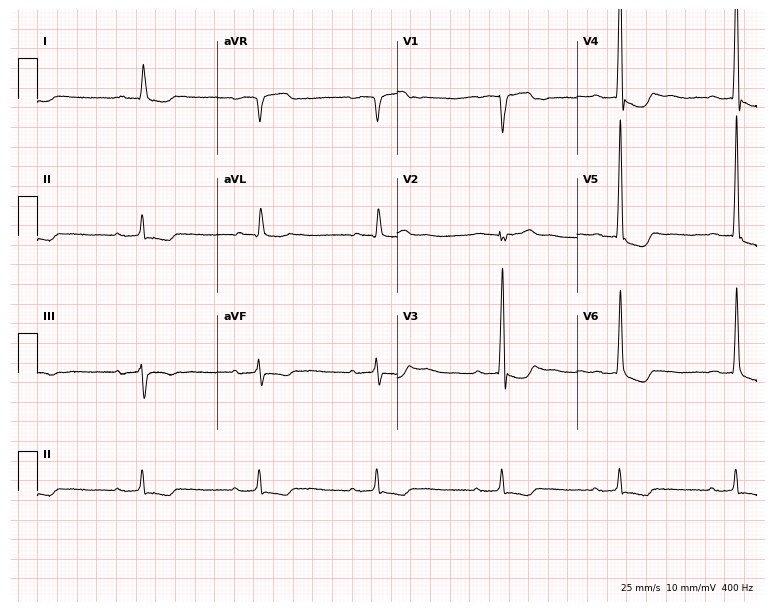
12-lead ECG (7.3-second recording at 400 Hz) from a 56-year-old male patient. Screened for six findings — first-degree AV block, right bundle branch block (RBBB), left bundle branch block (LBBB), sinus bradycardia, atrial fibrillation (AF), sinus tachycardia — none is recorded. Only these six findings were labelled.